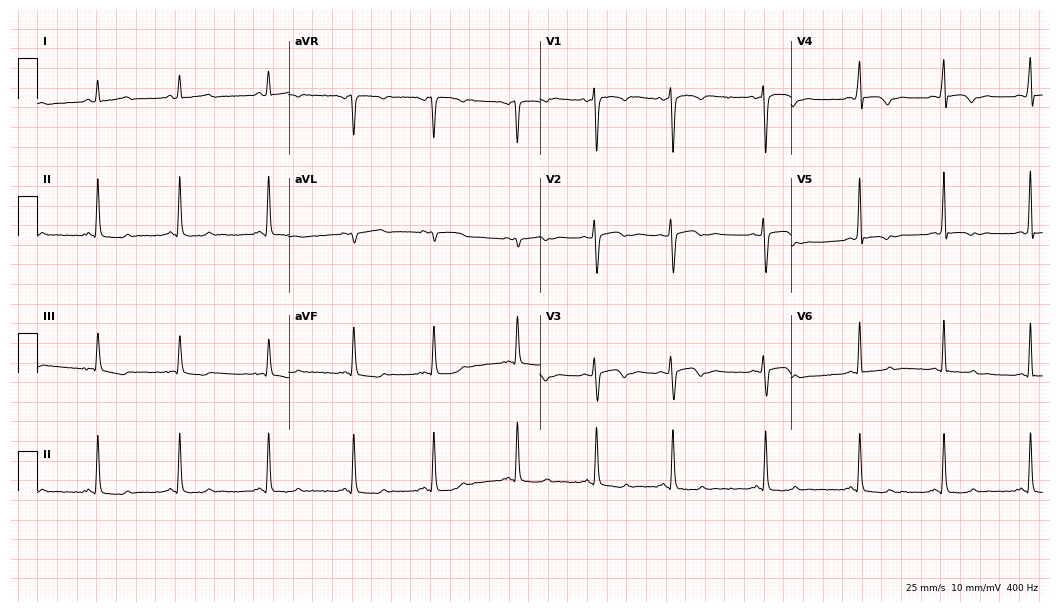
12-lead ECG from a woman, 84 years old. No first-degree AV block, right bundle branch block, left bundle branch block, sinus bradycardia, atrial fibrillation or sinus tachycardia recorded for this tracing.